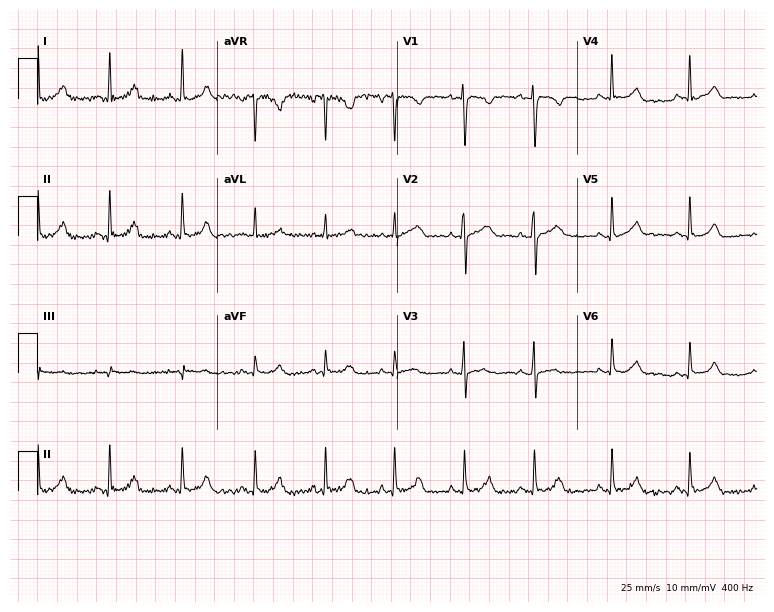
ECG (7.3-second recording at 400 Hz) — a female, 32 years old. Screened for six findings — first-degree AV block, right bundle branch block (RBBB), left bundle branch block (LBBB), sinus bradycardia, atrial fibrillation (AF), sinus tachycardia — none is recorded. Findings outside these six are not listed.